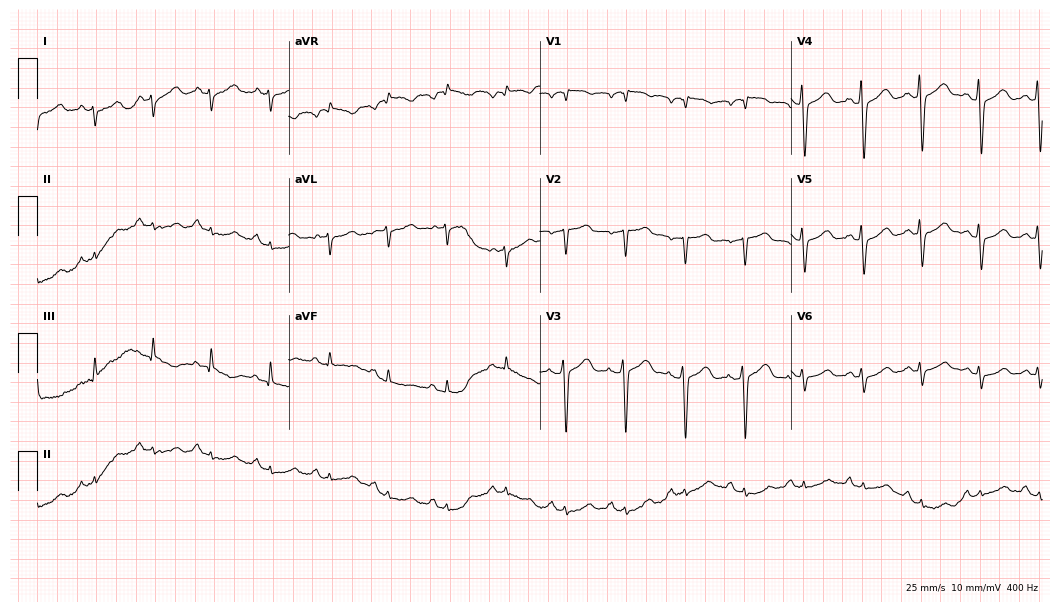
Electrocardiogram, a female, 66 years old. Of the six screened findings (first-degree AV block, right bundle branch block, left bundle branch block, sinus bradycardia, atrial fibrillation, sinus tachycardia), none is recorded. Other findings, if any, are not listed.